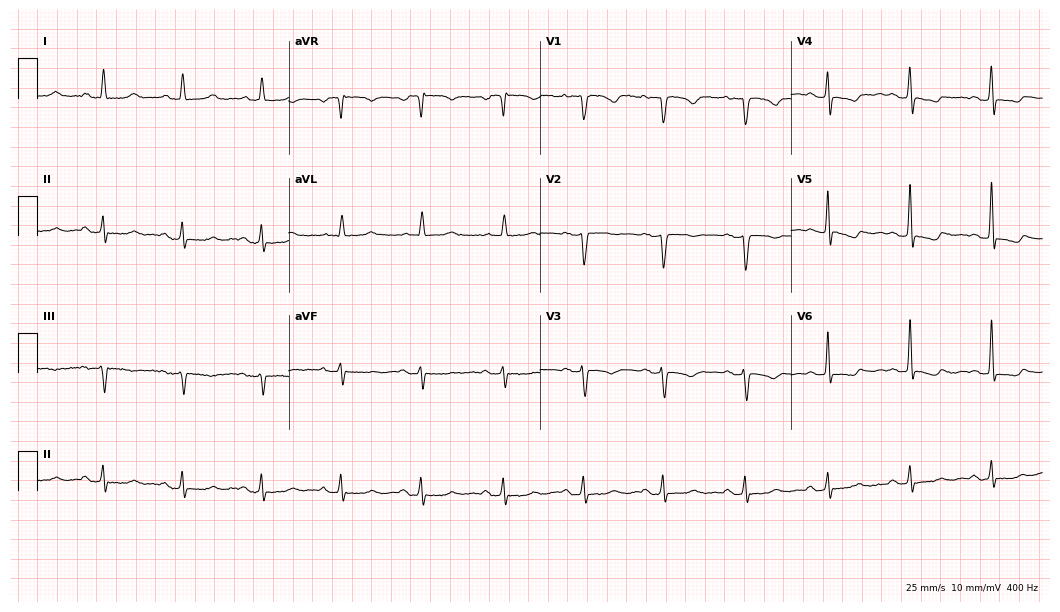
Electrocardiogram, a 52-year-old woman. Of the six screened findings (first-degree AV block, right bundle branch block (RBBB), left bundle branch block (LBBB), sinus bradycardia, atrial fibrillation (AF), sinus tachycardia), none is recorded.